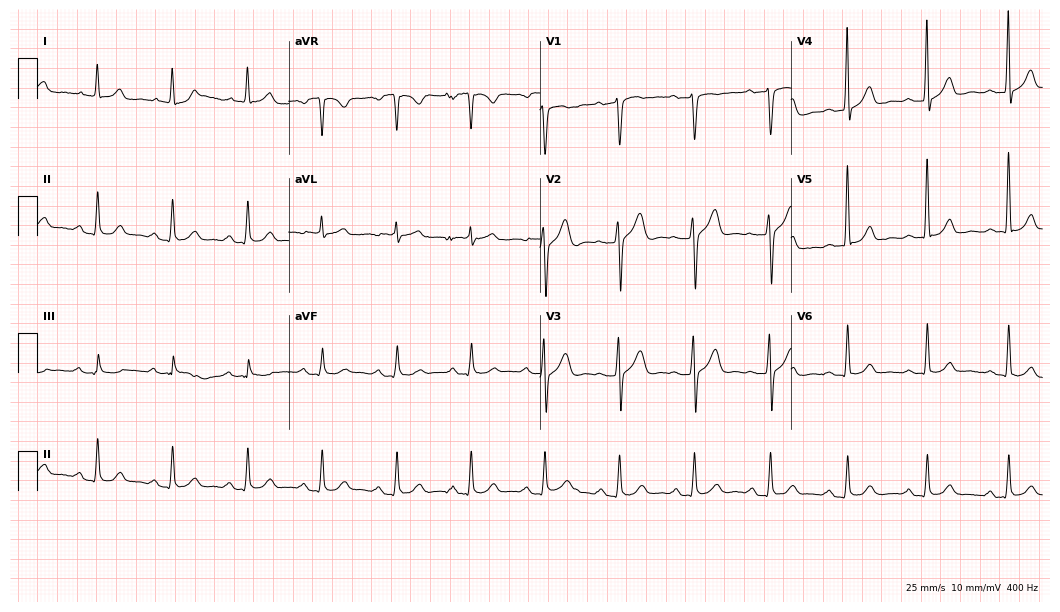
Standard 12-lead ECG recorded from a 60-year-old male (10.2-second recording at 400 Hz). Read as a normal ECG.